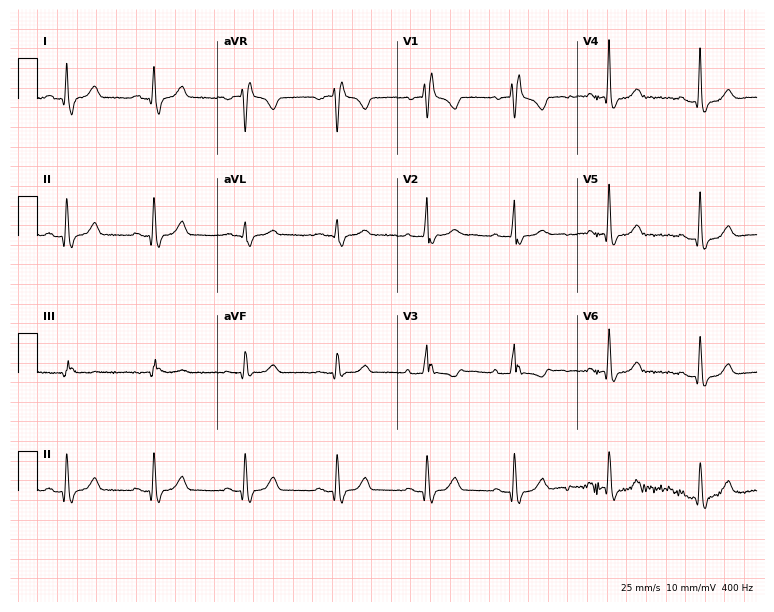
ECG (7.3-second recording at 400 Hz) — a woman, 55 years old. Findings include right bundle branch block.